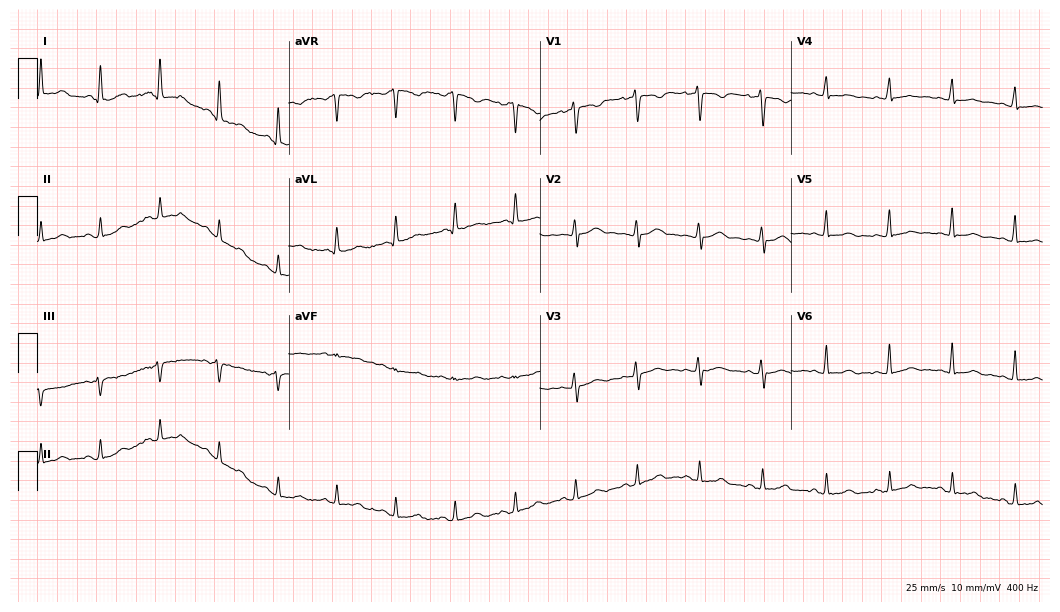
12-lead ECG (10.2-second recording at 400 Hz) from a woman, 29 years old. Screened for six findings — first-degree AV block, right bundle branch block (RBBB), left bundle branch block (LBBB), sinus bradycardia, atrial fibrillation (AF), sinus tachycardia — none is recorded.